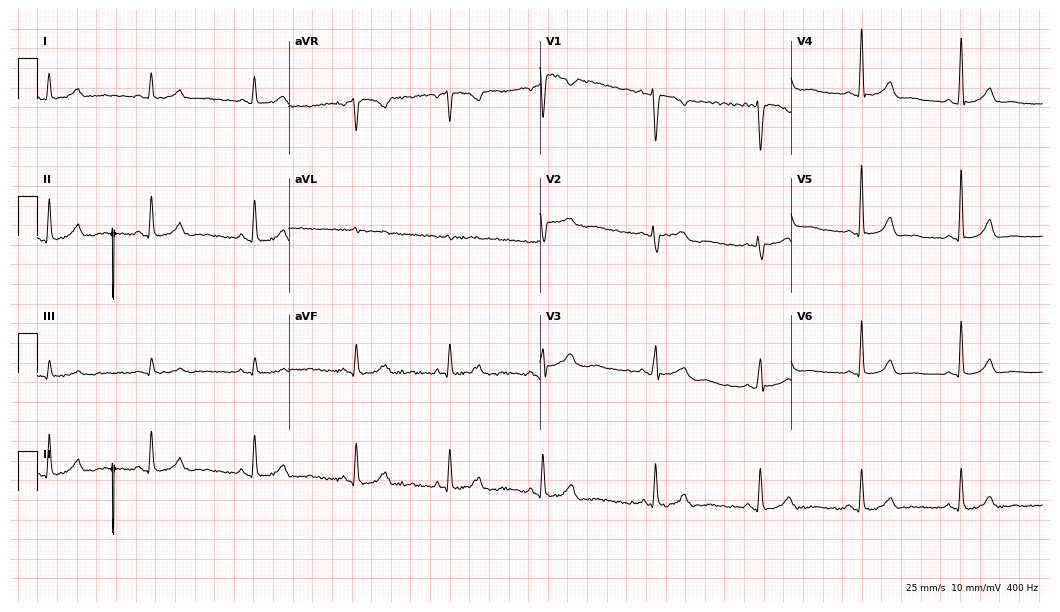
ECG (10.2-second recording at 400 Hz) — a 51-year-old woman. Labelled as a normal ECG.